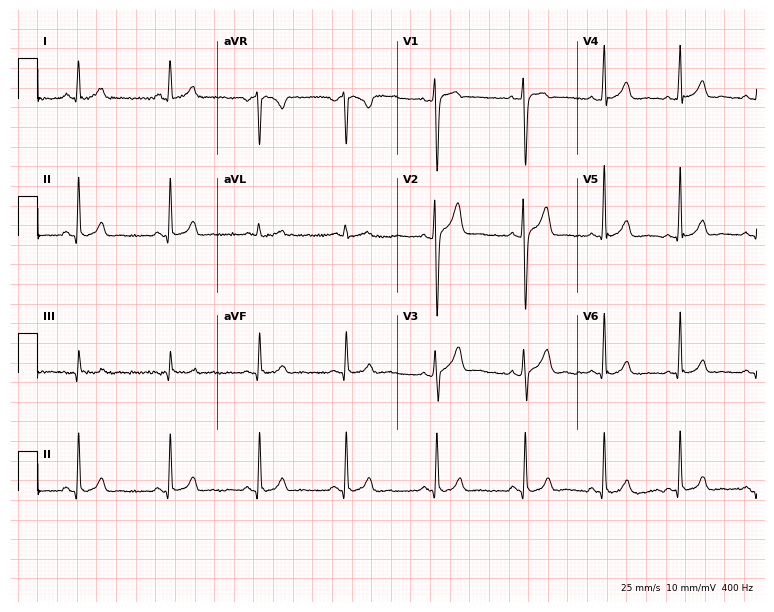
Resting 12-lead electrocardiogram. Patient: a male, 24 years old. None of these six findings is recorded: first-degree AV block, right bundle branch block (RBBB), left bundle branch block (LBBB), sinus bradycardia, atrial fibrillation (AF), sinus tachycardia.